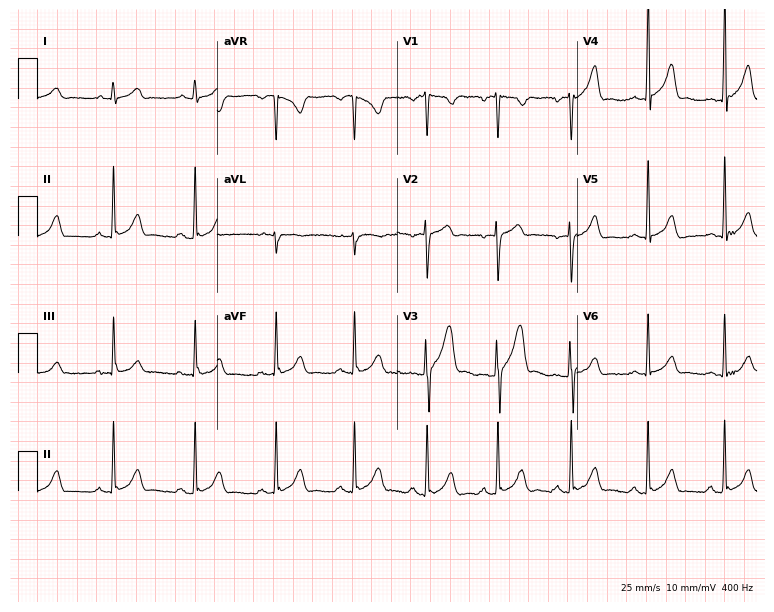
Standard 12-lead ECG recorded from a male, 26 years old. Read as a normal ECG.